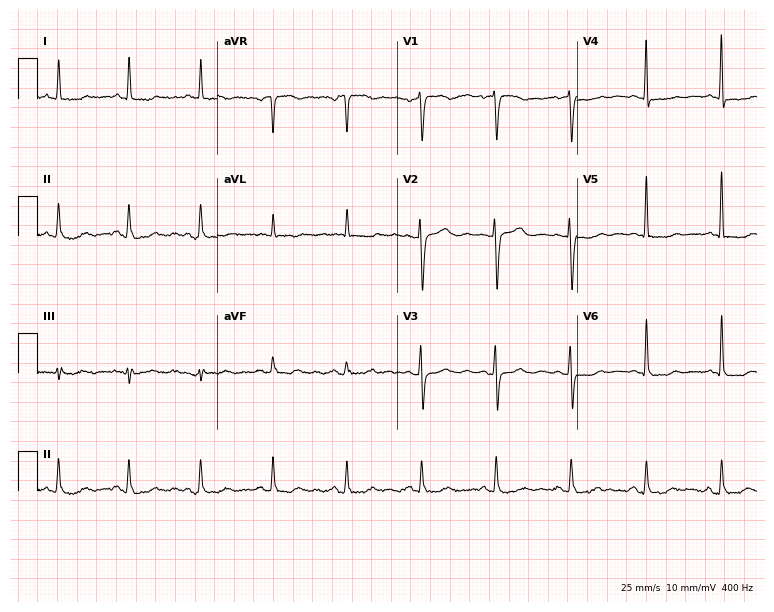
Resting 12-lead electrocardiogram (7.3-second recording at 400 Hz). Patient: a 64-year-old female. None of these six findings is recorded: first-degree AV block, right bundle branch block, left bundle branch block, sinus bradycardia, atrial fibrillation, sinus tachycardia.